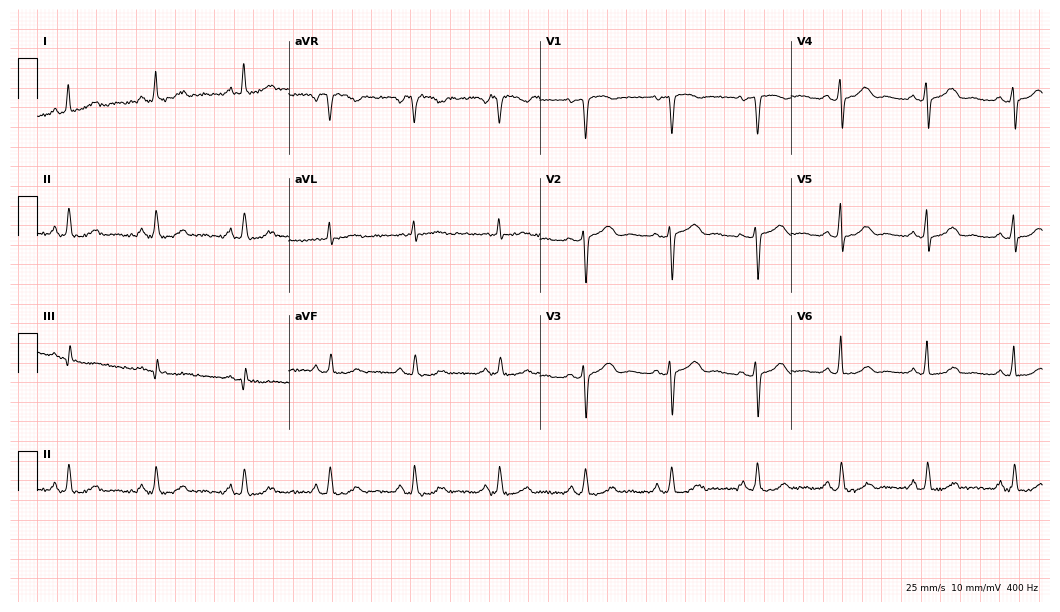
12-lead ECG from a 53-year-old man (10.2-second recording at 400 Hz). Recorded interpretation: within normal limits.